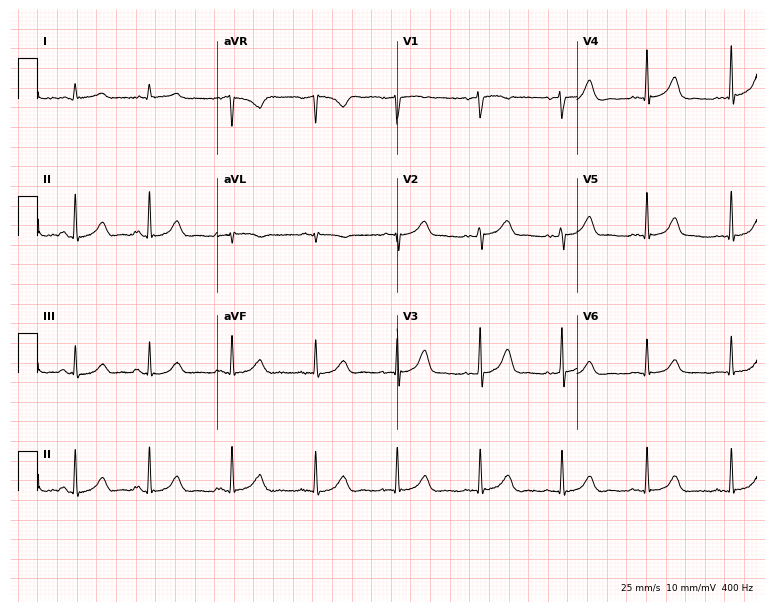
ECG (7.3-second recording at 400 Hz) — a female patient, 48 years old. Screened for six findings — first-degree AV block, right bundle branch block (RBBB), left bundle branch block (LBBB), sinus bradycardia, atrial fibrillation (AF), sinus tachycardia — none is recorded. Other findings, if any, are not listed.